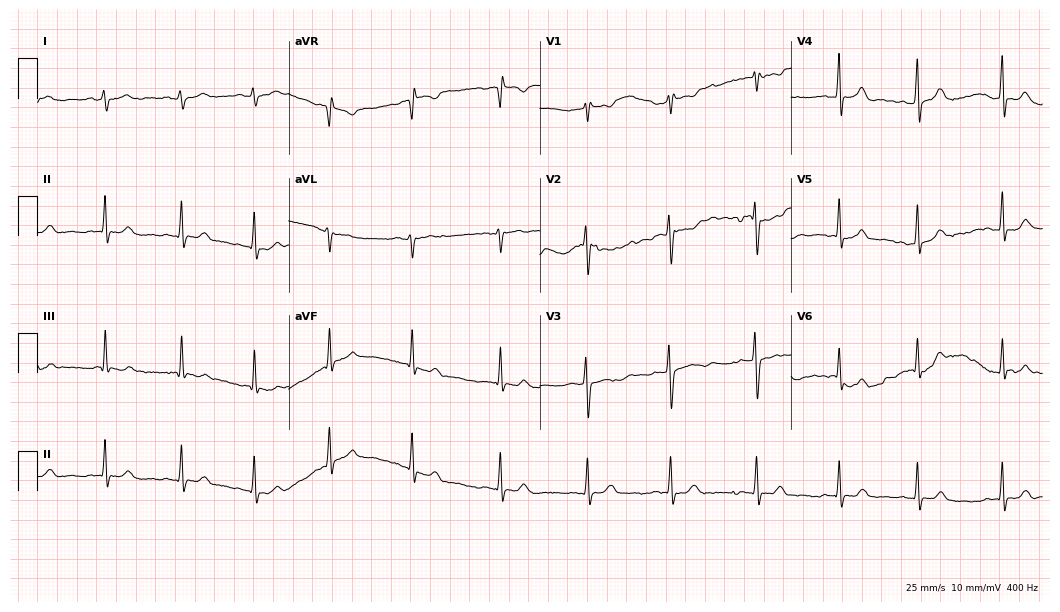
Electrocardiogram (10.2-second recording at 400 Hz), a female, 18 years old. Overall reading on record: normal ECG.